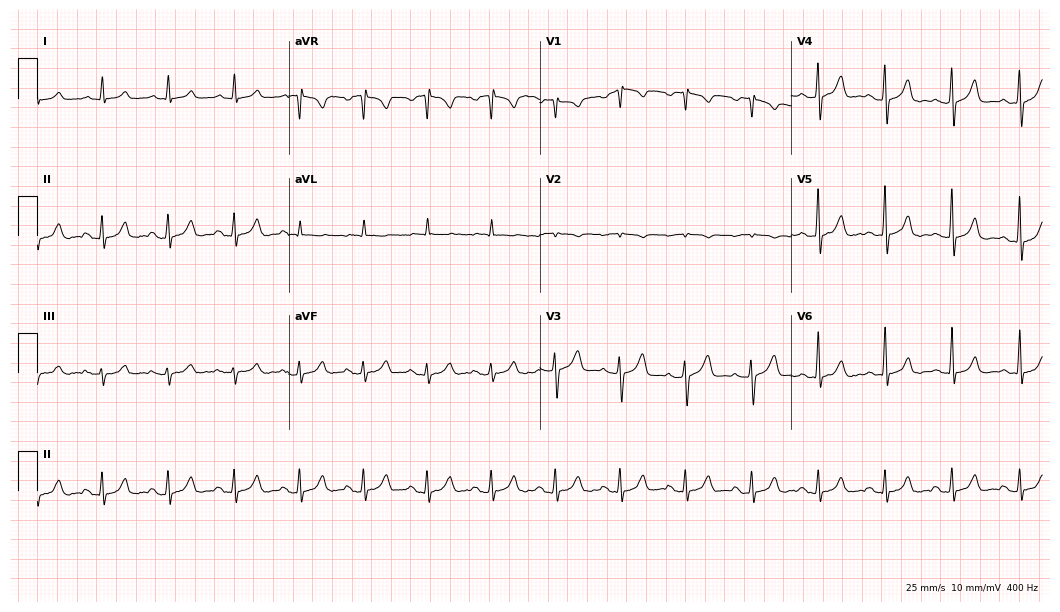
12-lead ECG from a man, 72 years old (10.2-second recording at 400 Hz). Recorded interpretation: within normal limits.